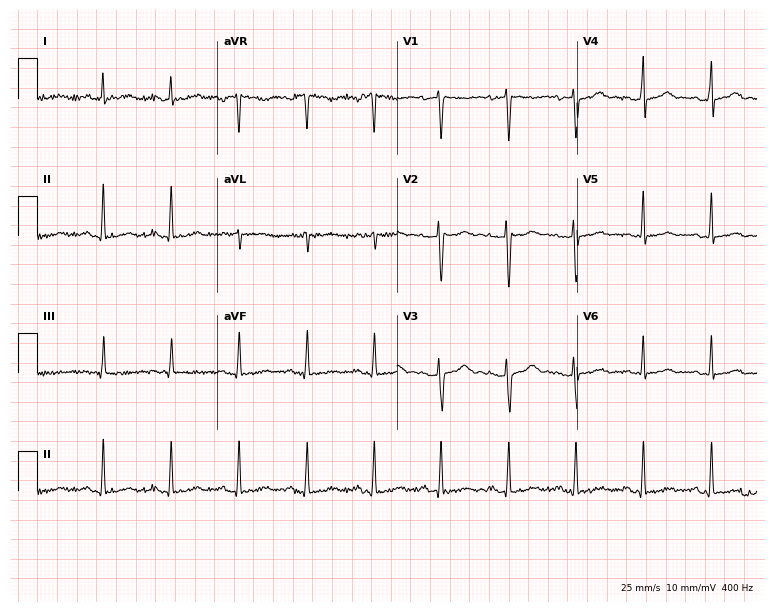
12-lead ECG from a 29-year-old female patient. No first-degree AV block, right bundle branch block (RBBB), left bundle branch block (LBBB), sinus bradycardia, atrial fibrillation (AF) or sinus tachycardia recorded for this tracing. Findings outside these six are not listed.